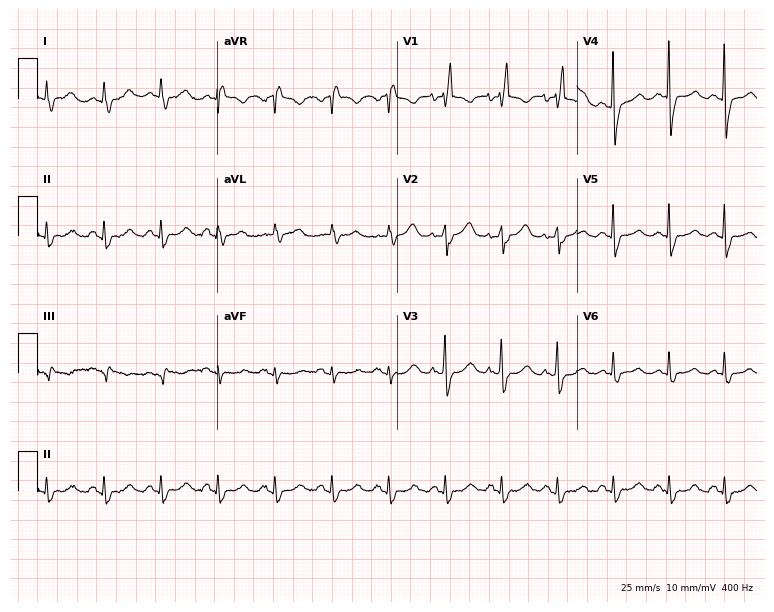
Standard 12-lead ECG recorded from a female, 83 years old. The tracing shows right bundle branch block (RBBB), sinus tachycardia (a sinus rate of 100 beats per minute or more).